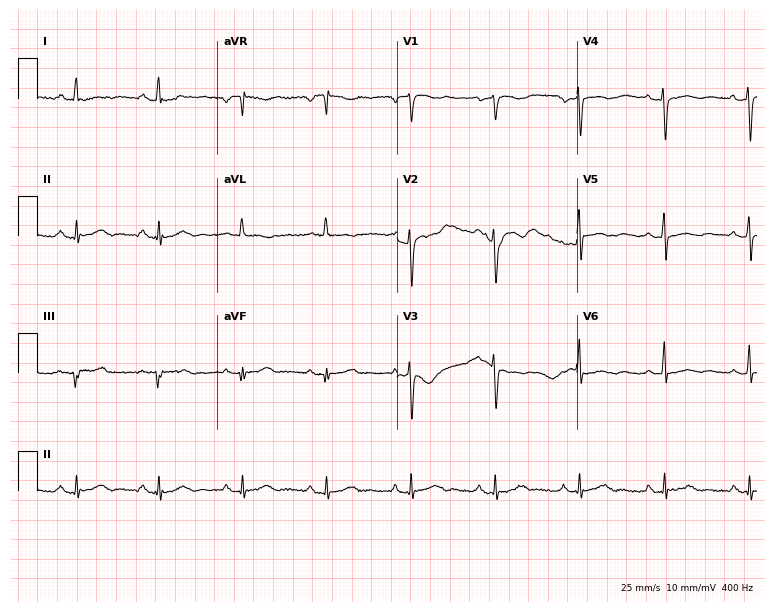
Electrocardiogram (7.3-second recording at 400 Hz), a female, 72 years old. Of the six screened findings (first-degree AV block, right bundle branch block (RBBB), left bundle branch block (LBBB), sinus bradycardia, atrial fibrillation (AF), sinus tachycardia), none is recorded. Findings outside these six are not listed.